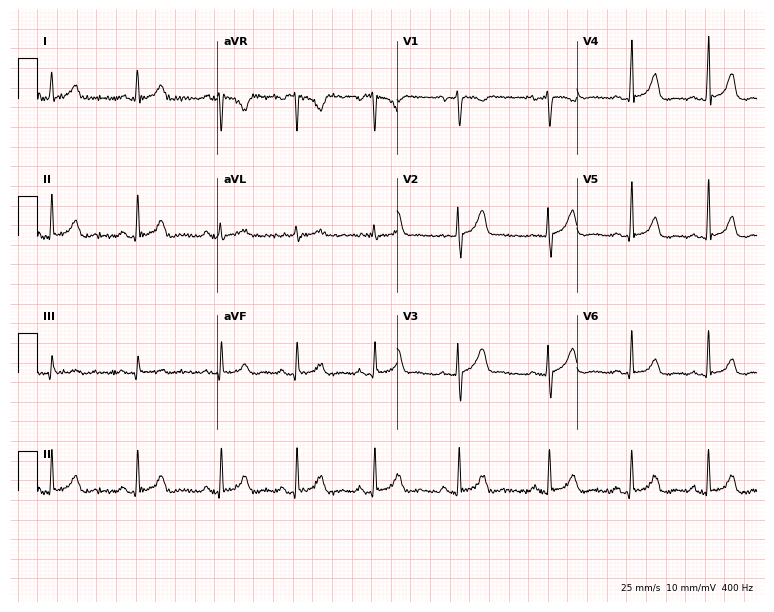
ECG — a 43-year-old female patient. Labelled as a normal ECG.